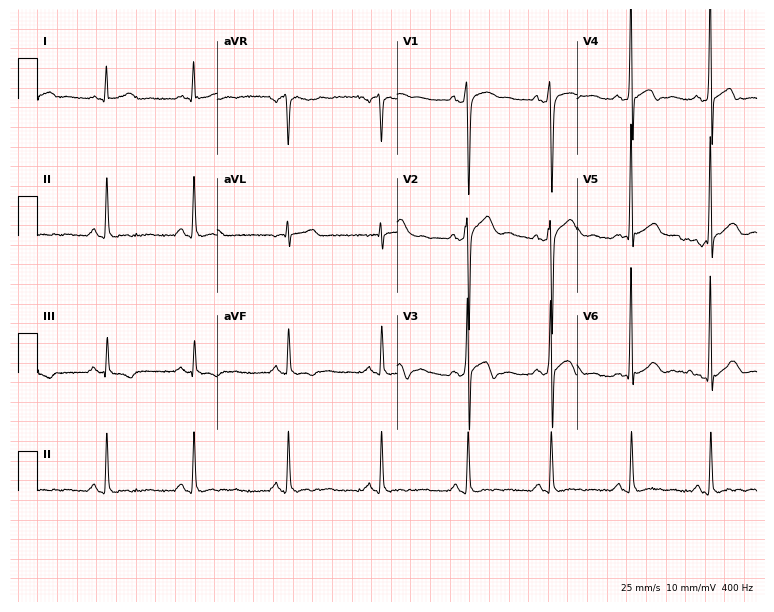
12-lead ECG from a 55-year-old male patient. No first-degree AV block, right bundle branch block (RBBB), left bundle branch block (LBBB), sinus bradycardia, atrial fibrillation (AF) or sinus tachycardia recorded for this tracing.